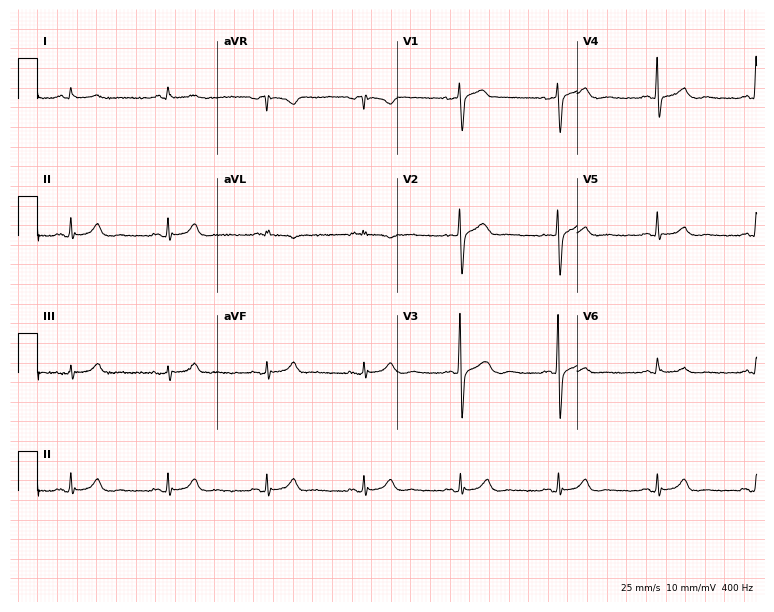
Electrocardiogram, a 71-year-old male. Of the six screened findings (first-degree AV block, right bundle branch block (RBBB), left bundle branch block (LBBB), sinus bradycardia, atrial fibrillation (AF), sinus tachycardia), none is recorded. Findings outside these six are not listed.